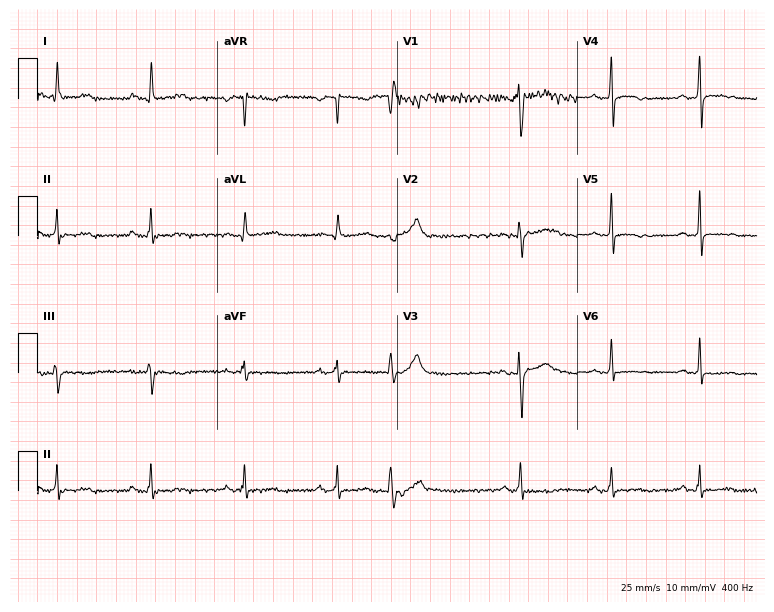
Standard 12-lead ECG recorded from a male, 44 years old. None of these six findings is recorded: first-degree AV block, right bundle branch block, left bundle branch block, sinus bradycardia, atrial fibrillation, sinus tachycardia. Findings outside these six are not listed.